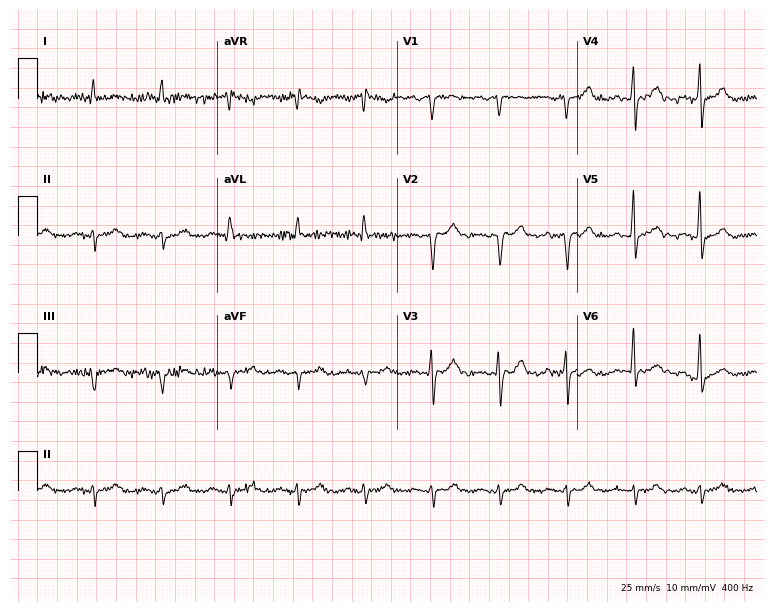
12-lead ECG from a 60-year-old male (7.3-second recording at 400 Hz). No first-degree AV block, right bundle branch block, left bundle branch block, sinus bradycardia, atrial fibrillation or sinus tachycardia recorded for this tracing.